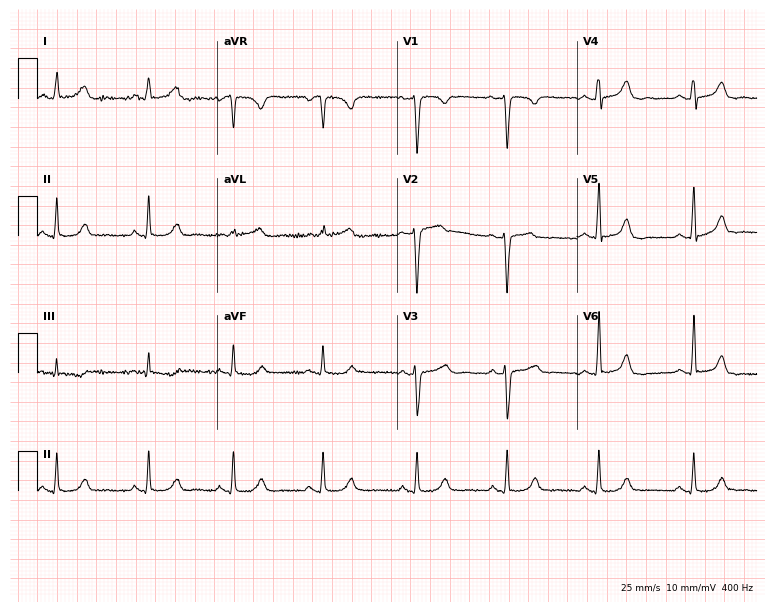
Standard 12-lead ECG recorded from a 38-year-old woman (7.3-second recording at 400 Hz). Read as a normal ECG.